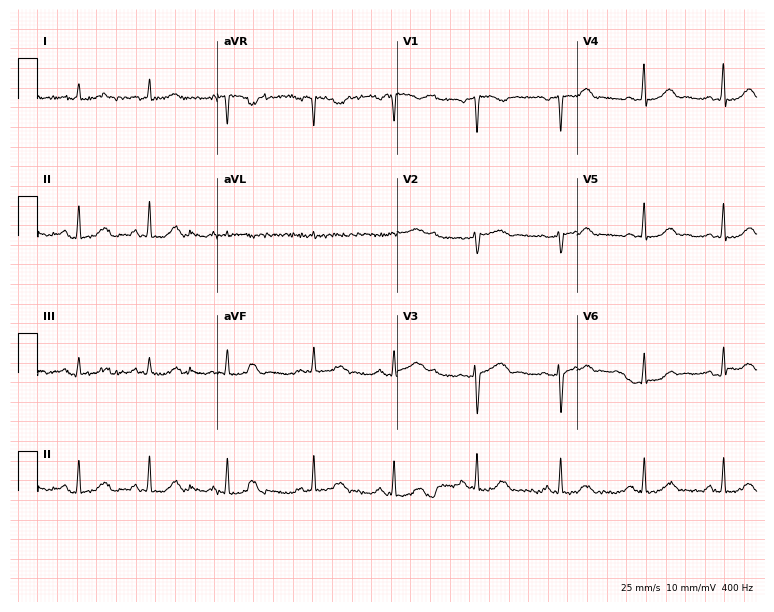
12-lead ECG from a female patient, 49 years old. Labelled as a normal ECG.